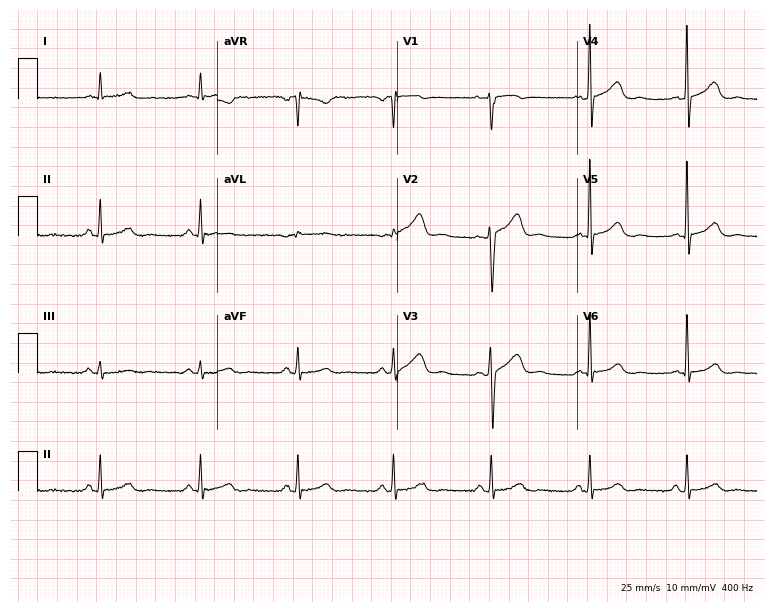
Electrocardiogram, a 64-year-old male patient. Overall reading on record: normal ECG.